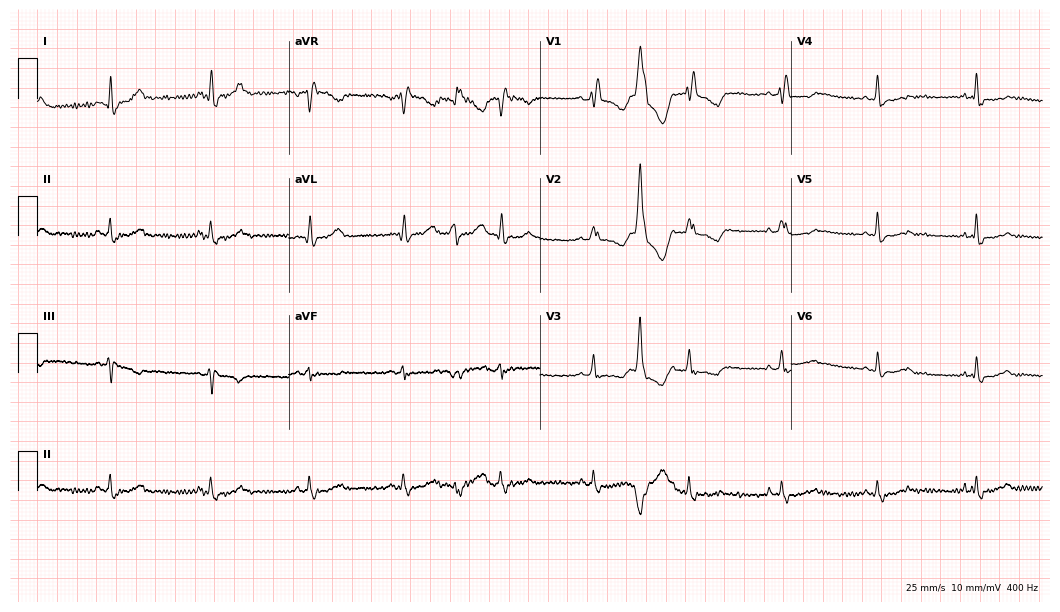
Standard 12-lead ECG recorded from a 50-year-old female patient (10.2-second recording at 400 Hz). None of these six findings is recorded: first-degree AV block, right bundle branch block, left bundle branch block, sinus bradycardia, atrial fibrillation, sinus tachycardia. Only these six findings were labelled.